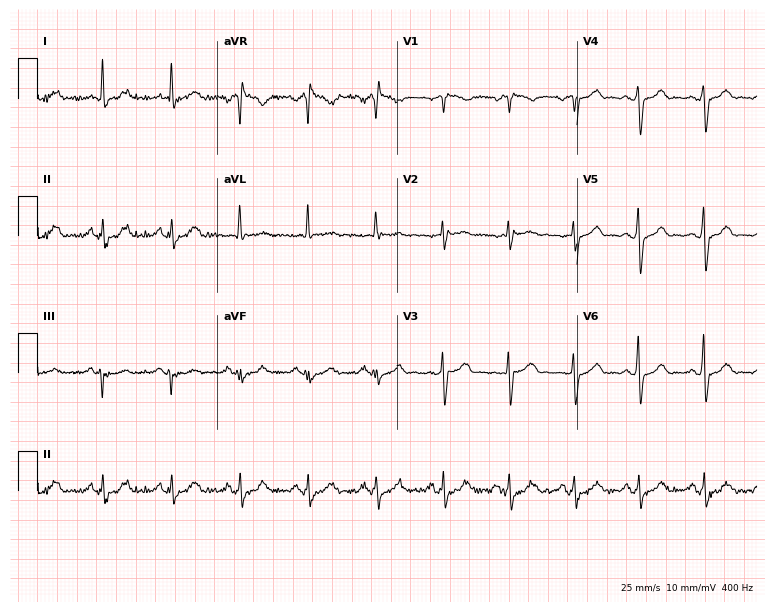
ECG — a male patient, 63 years old. Labelled as a normal ECG.